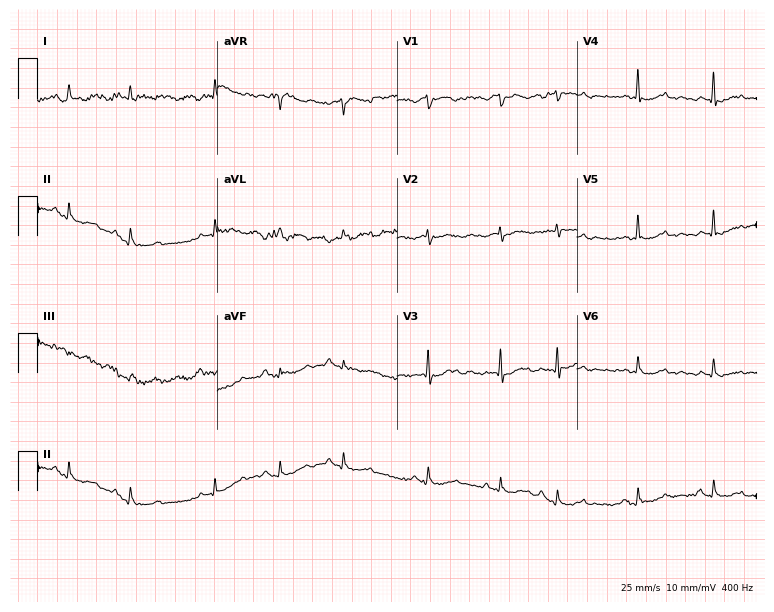
12-lead ECG from a female patient, 83 years old. No first-degree AV block, right bundle branch block, left bundle branch block, sinus bradycardia, atrial fibrillation or sinus tachycardia recorded for this tracing. Other findings, if any, are not listed.